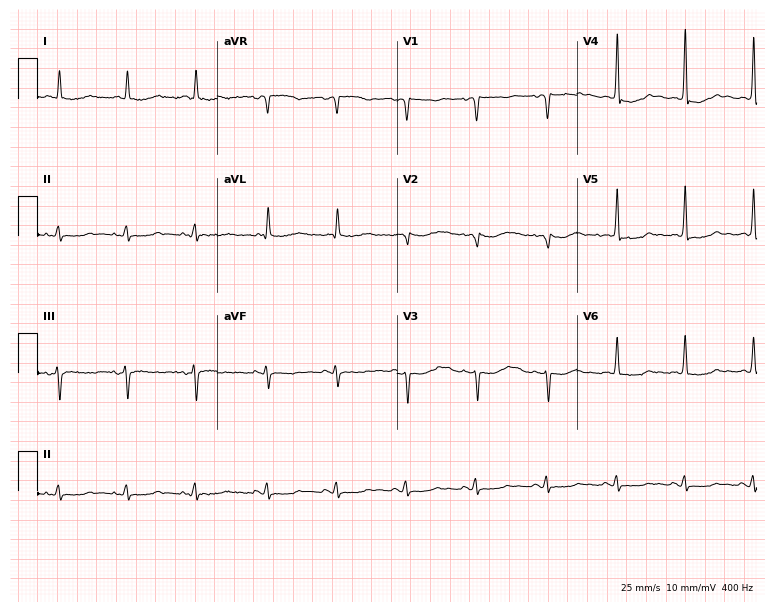
Electrocardiogram, a female, 83 years old. Of the six screened findings (first-degree AV block, right bundle branch block (RBBB), left bundle branch block (LBBB), sinus bradycardia, atrial fibrillation (AF), sinus tachycardia), none is recorded. Only these six findings were labelled.